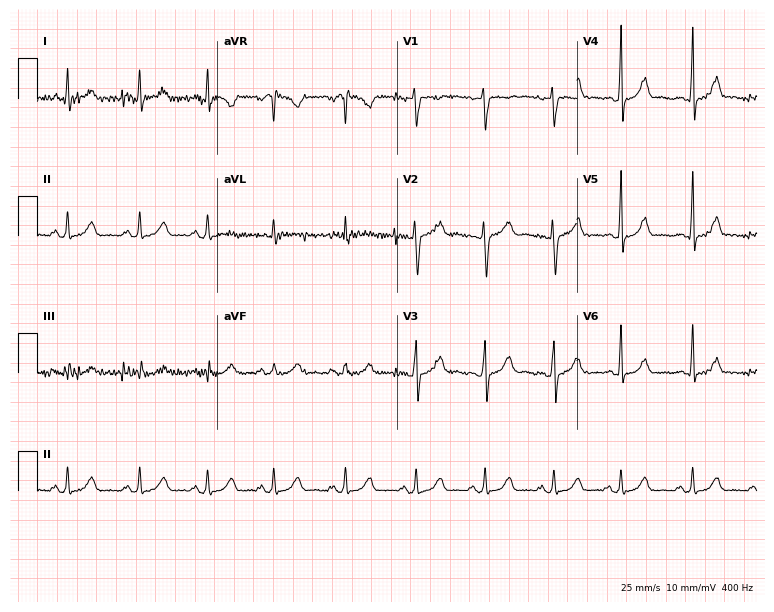
ECG — a female patient, 22 years old. Screened for six findings — first-degree AV block, right bundle branch block, left bundle branch block, sinus bradycardia, atrial fibrillation, sinus tachycardia — none is recorded. Other findings, if any, are not listed.